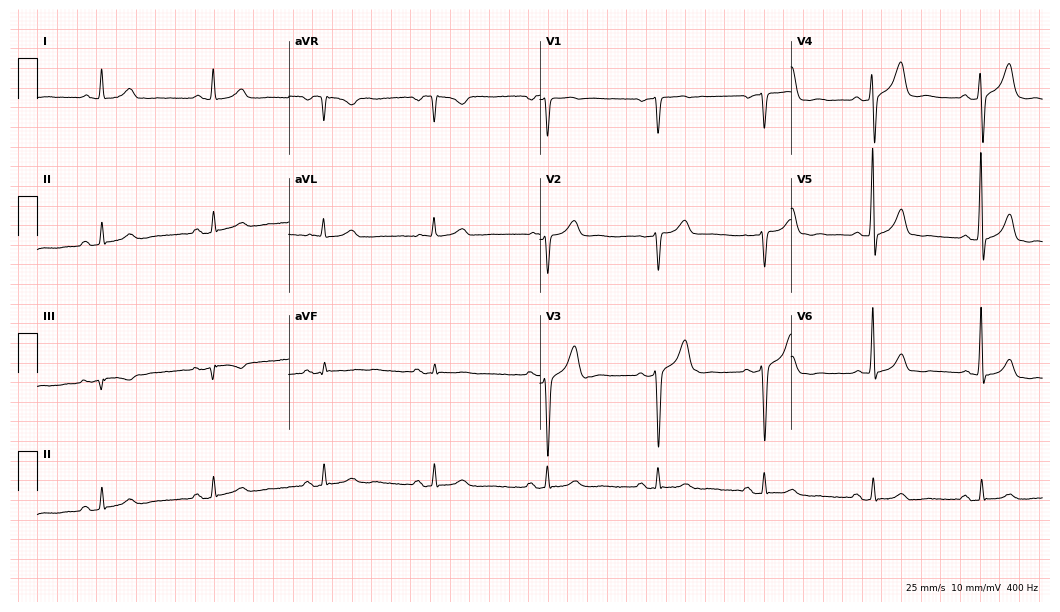
Standard 12-lead ECG recorded from a man, 68 years old. None of these six findings is recorded: first-degree AV block, right bundle branch block (RBBB), left bundle branch block (LBBB), sinus bradycardia, atrial fibrillation (AF), sinus tachycardia.